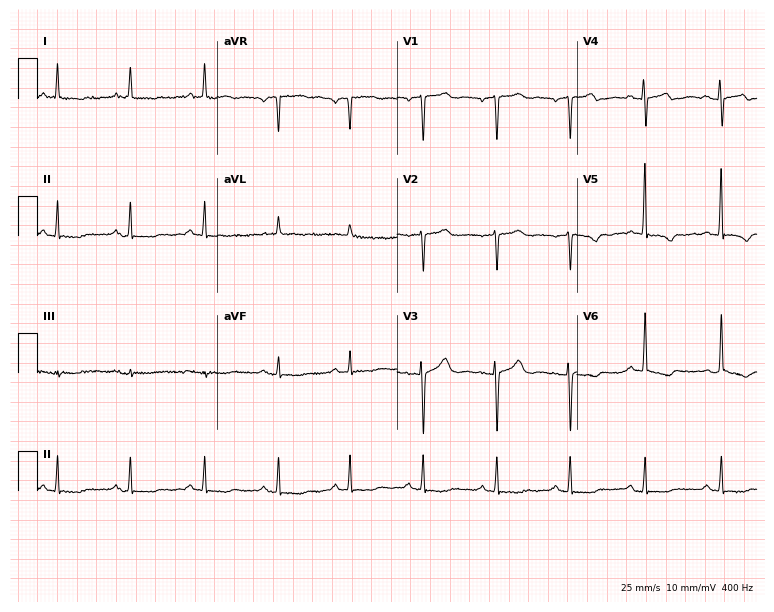
Standard 12-lead ECG recorded from a 78-year-old male (7.3-second recording at 400 Hz). None of these six findings is recorded: first-degree AV block, right bundle branch block, left bundle branch block, sinus bradycardia, atrial fibrillation, sinus tachycardia. Other findings, if any, are not listed.